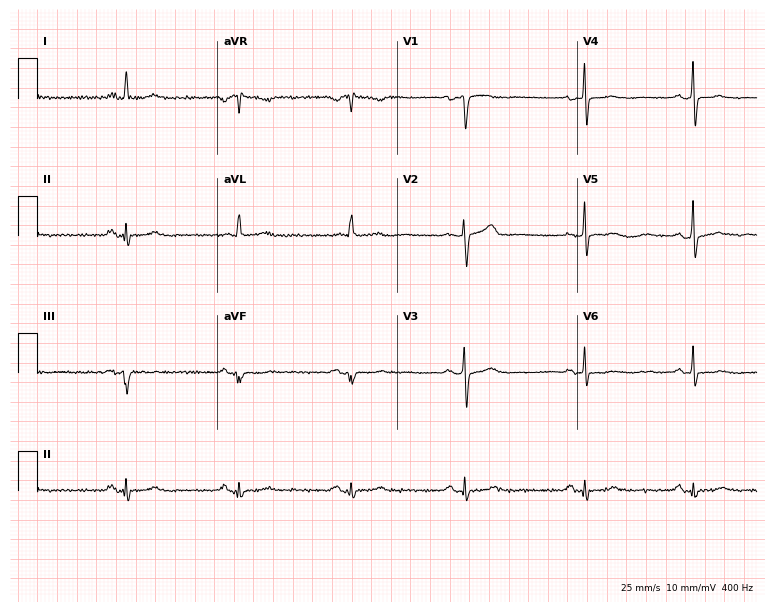
12-lead ECG from a male patient, 72 years old (7.3-second recording at 400 Hz). No first-degree AV block, right bundle branch block (RBBB), left bundle branch block (LBBB), sinus bradycardia, atrial fibrillation (AF) or sinus tachycardia recorded for this tracing. Other findings, if any, are not listed.